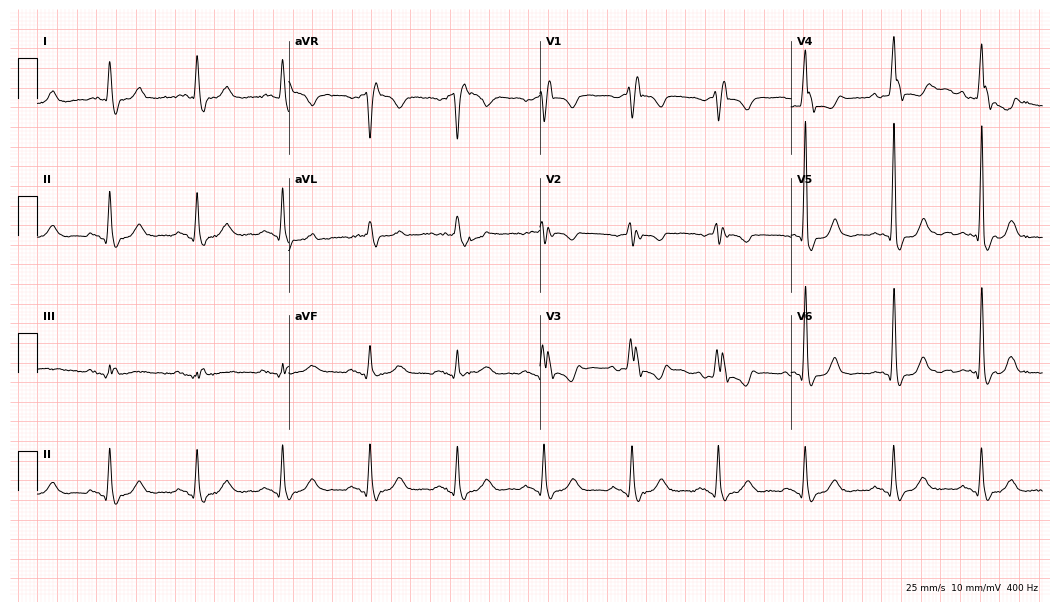
Resting 12-lead electrocardiogram. Patient: an 81-year-old female. The tracing shows right bundle branch block (RBBB).